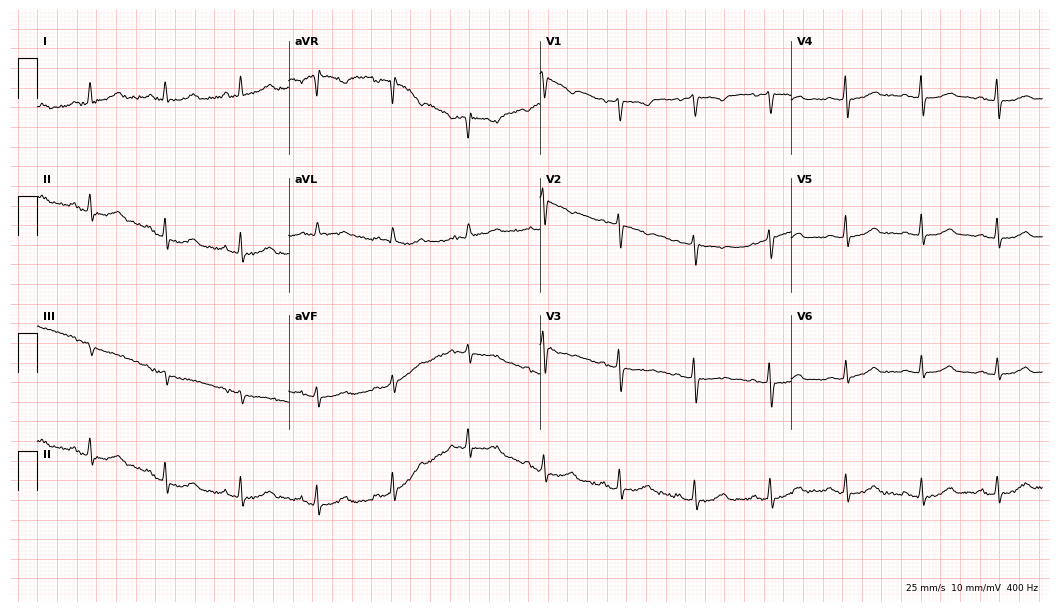
Resting 12-lead electrocardiogram (10.2-second recording at 400 Hz). Patient: a 55-year-old female. None of these six findings is recorded: first-degree AV block, right bundle branch block, left bundle branch block, sinus bradycardia, atrial fibrillation, sinus tachycardia. Other findings, if any, are not listed.